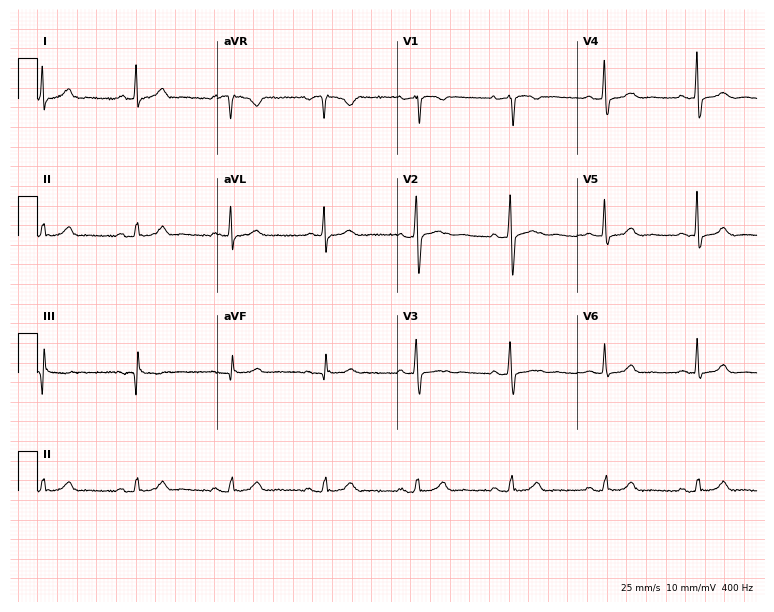
Standard 12-lead ECG recorded from a male, 53 years old (7.3-second recording at 400 Hz). None of these six findings is recorded: first-degree AV block, right bundle branch block, left bundle branch block, sinus bradycardia, atrial fibrillation, sinus tachycardia.